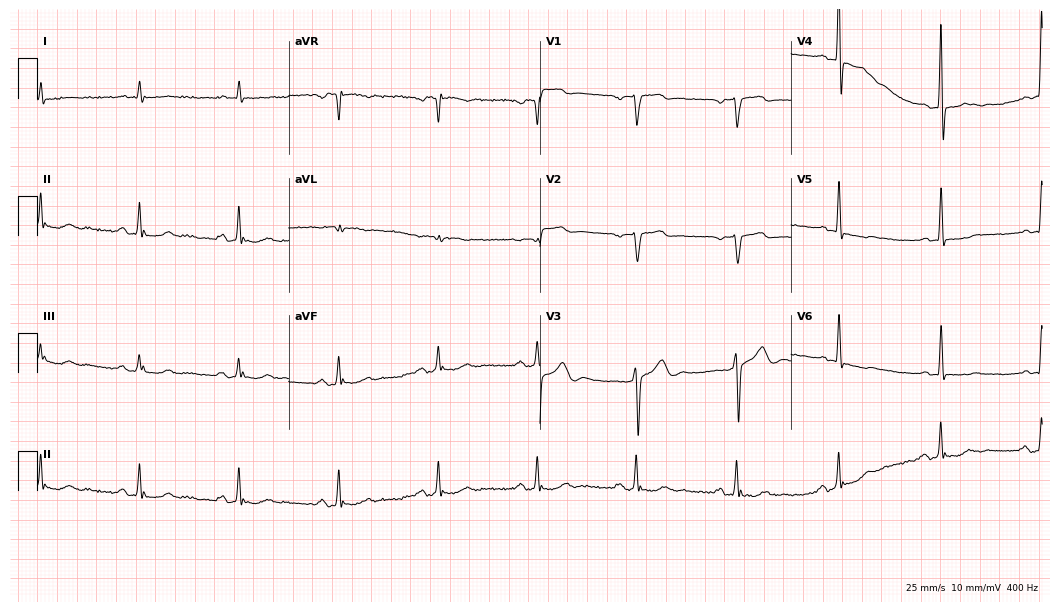
12-lead ECG (10.2-second recording at 400 Hz) from a 64-year-old man. Screened for six findings — first-degree AV block, right bundle branch block, left bundle branch block, sinus bradycardia, atrial fibrillation, sinus tachycardia — none is recorded.